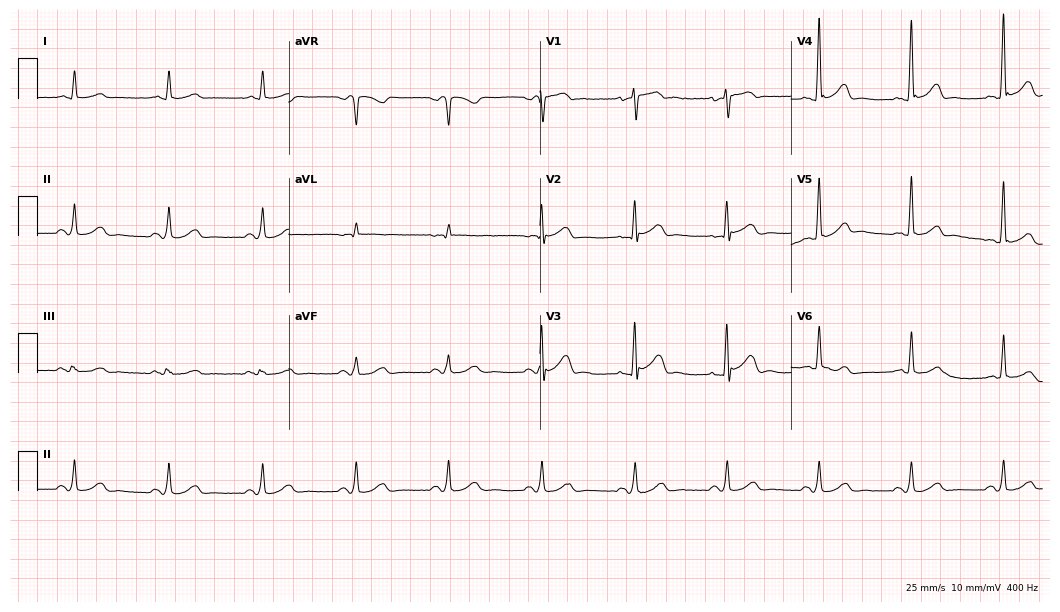
Electrocardiogram (10.2-second recording at 400 Hz), a male patient, 71 years old. Overall reading on record: normal ECG.